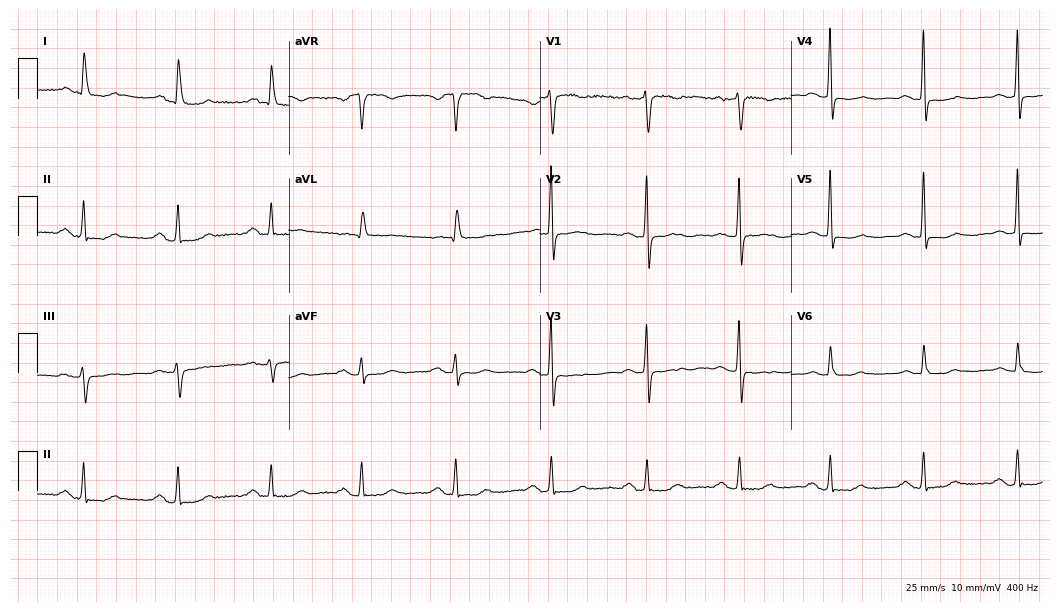
Electrocardiogram, a 77-year-old female. Of the six screened findings (first-degree AV block, right bundle branch block, left bundle branch block, sinus bradycardia, atrial fibrillation, sinus tachycardia), none is recorded.